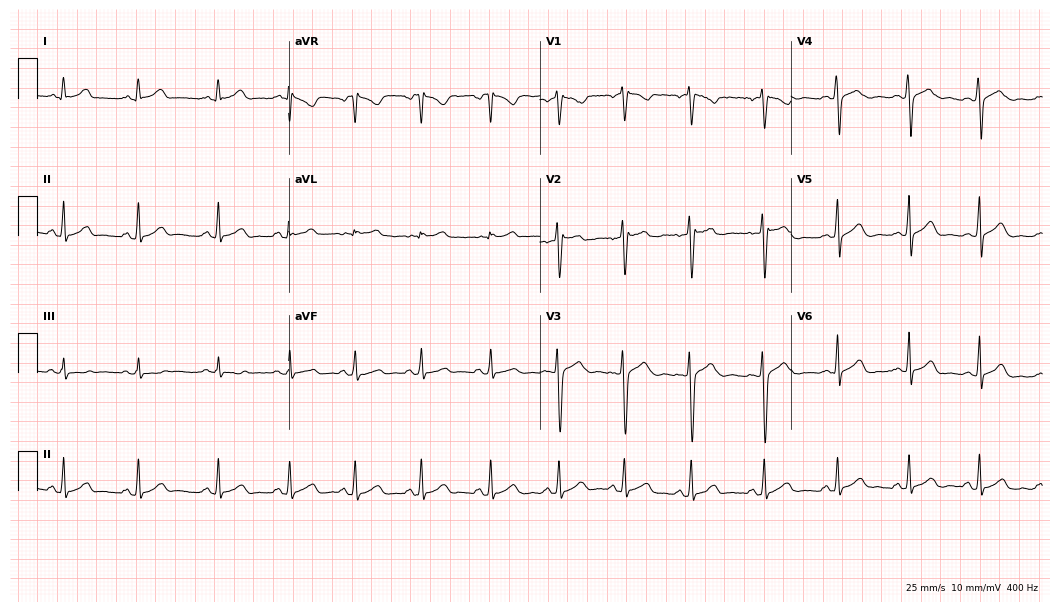
Electrocardiogram, a 28-year-old female. Overall reading on record: normal ECG.